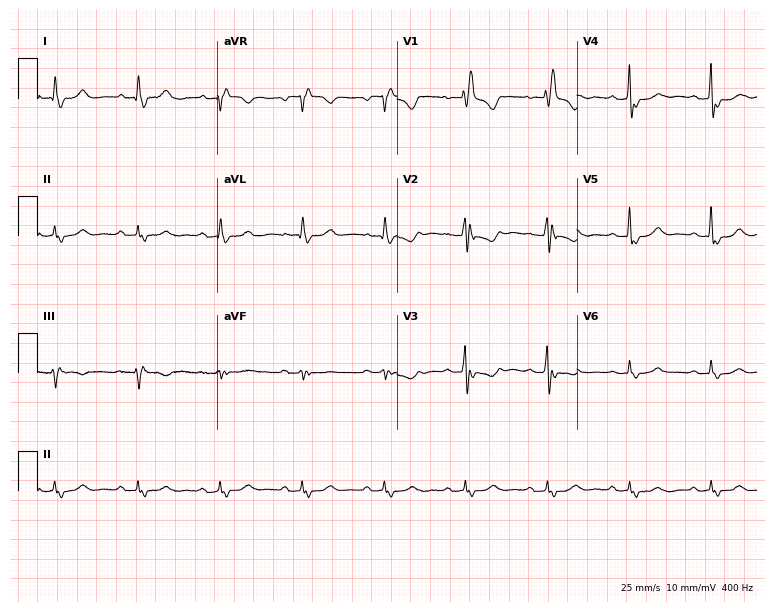
12-lead ECG from a female patient, 80 years old. Findings include right bundle branch block.